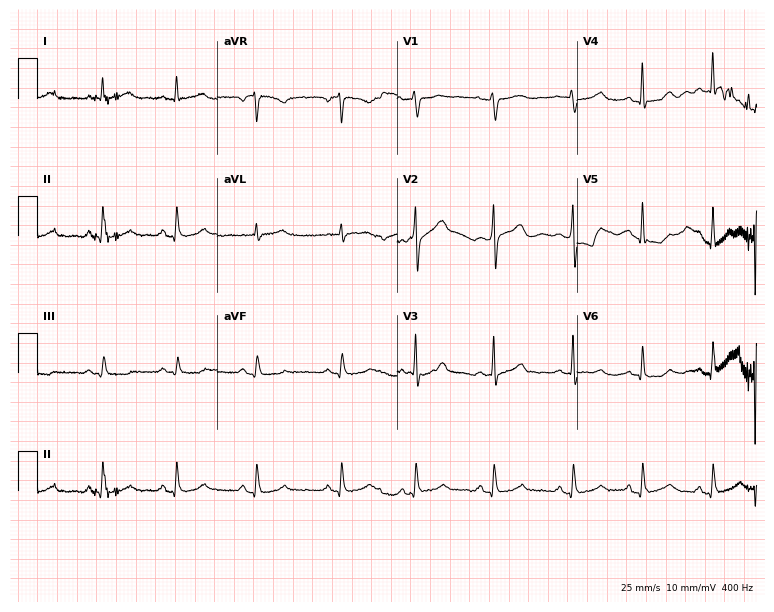
ECG — a 39-year-old woman. Screened for six findings — first-degree AV block, right bundle branch block (RBBB), left bundle branch block (LBBB), sinus bradycardia, atrial fibrillation (AF), sinus tachycardia — none is recorded. Other findings, if any, are not listed.